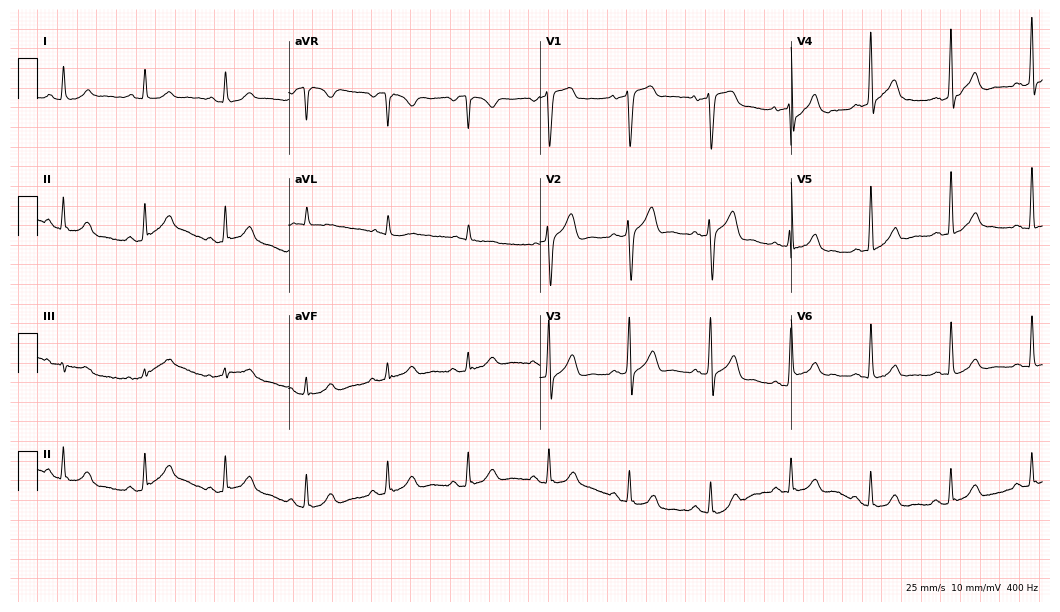
12-lead ECG from a 69-year-old male patient. Labelled as a normal ECG.